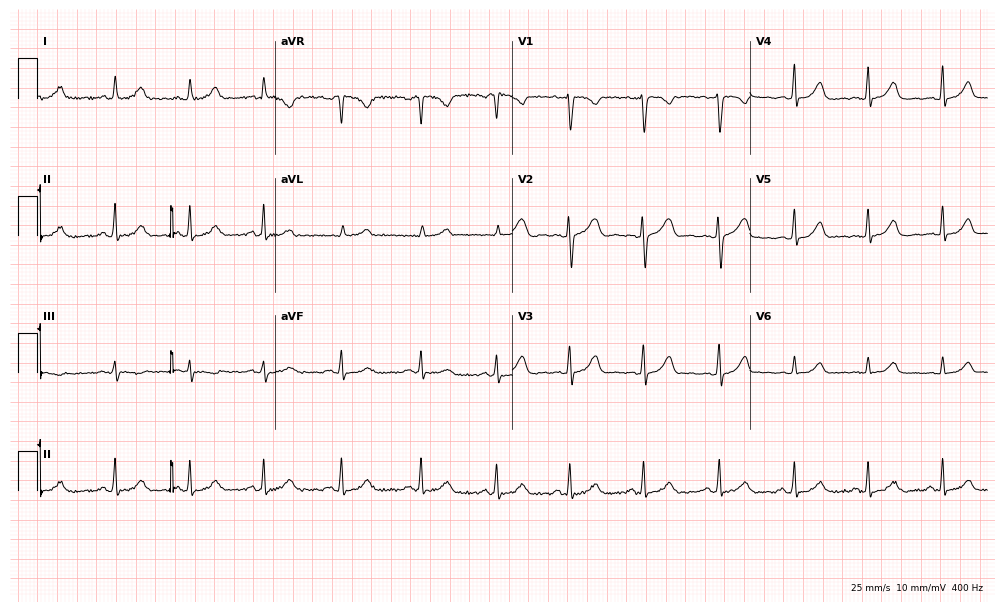
ECG — a 20-year-old female. Labelled as a normal ECG.